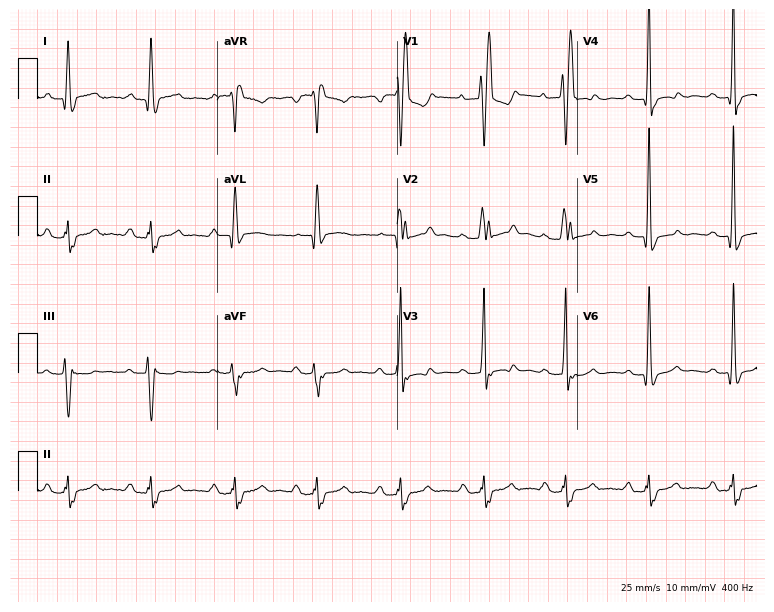
ECG — a man, 29 years old. Findings include first-degree AV block, right bundle branch block.